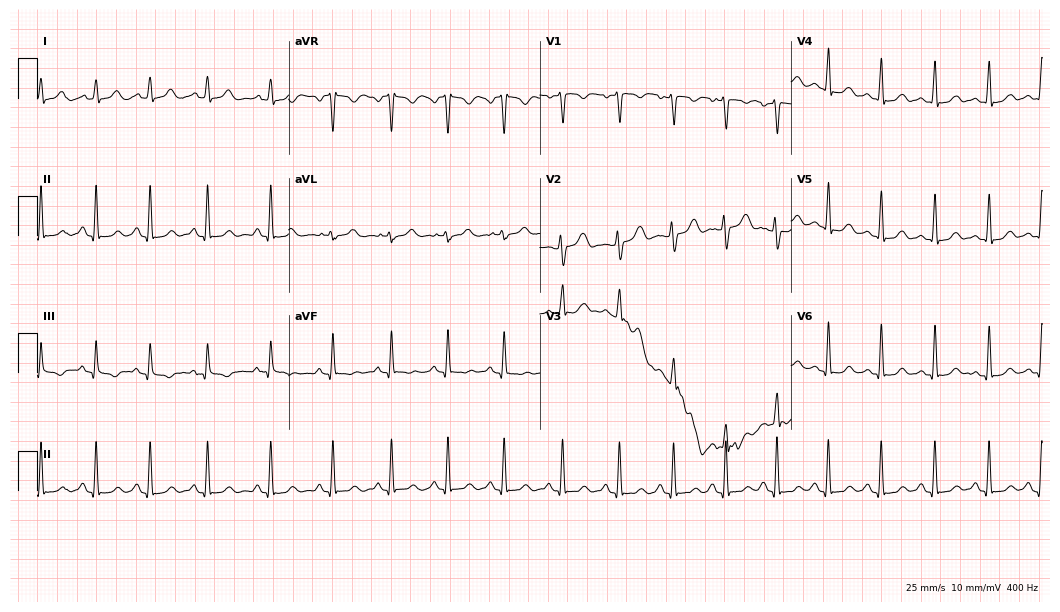
12-lead ECG (10.2-second recording at 400 Hz) from a woman, 23 years old. Findings include sinus tachycardia (a sinus rate of 100 beats per minute or more).